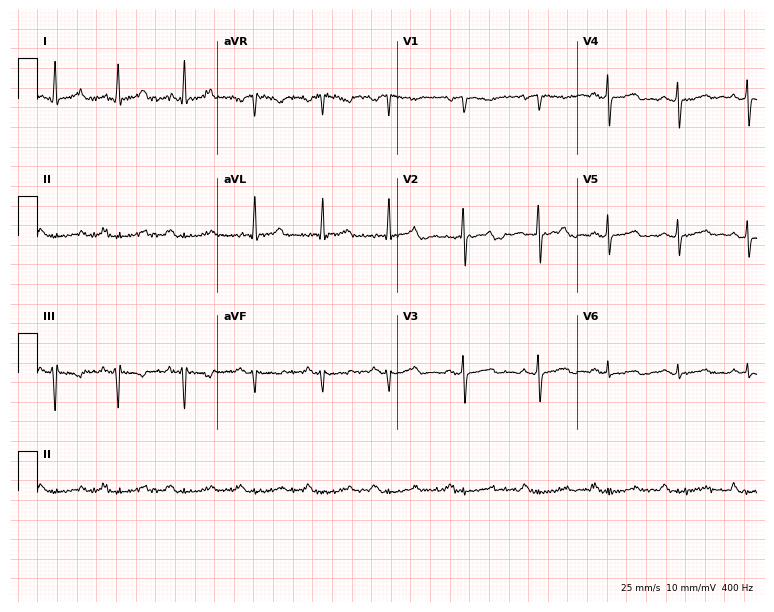
12-lead ECG from a female, 46 years old. Screened for six findings — first-degree AV block, right bundle branch block, left bundle branch block, sinus bradycardia, atrial fibrillation, sinus tachycardia — none is recorded. Only these six findings were labelled.